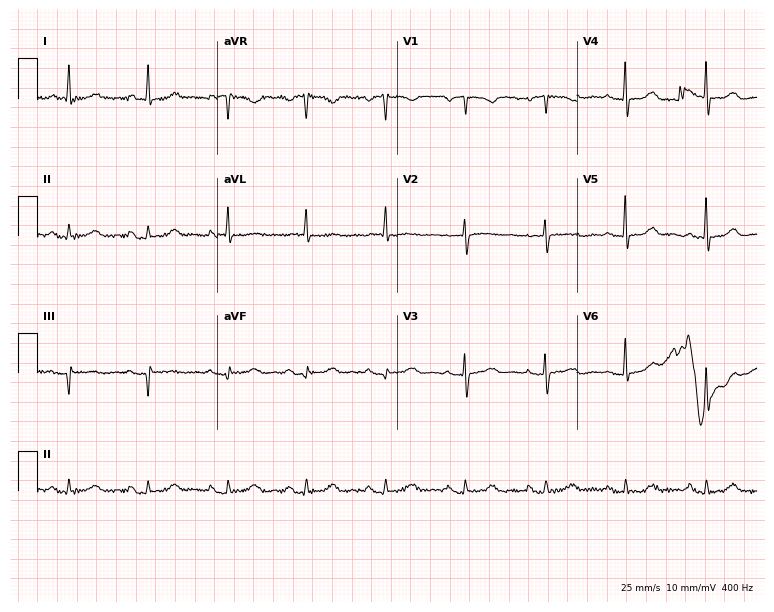
ECG (7.3-second recording at 400 Hz) — a female patient, 75 years old. Screened for six findings — first-degree AV block, right bundle branch block (RBBB), left bundle branch block (LBBB), sinus bradycardia, atrial fibrillation (AF), sinus tachycardia — none is recorded.